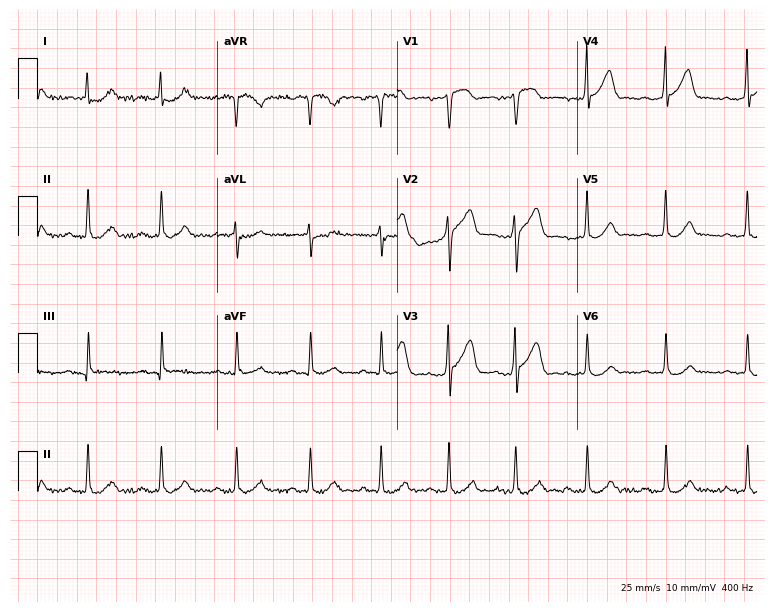
Standard 12-lead ECG recorded from a 42-year-old man. Read as a normal ECG.